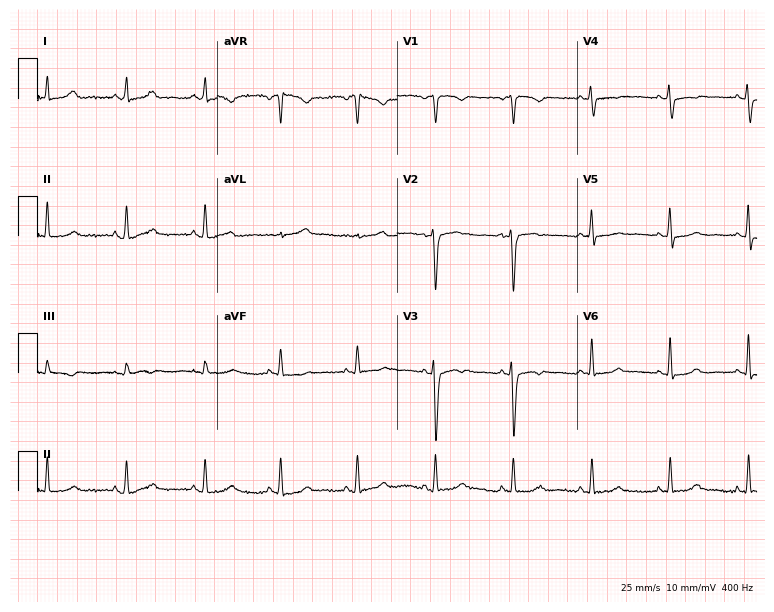
Electrocardiogram (7.3-second recording at 400 Hz), a female, 35 years old. Of the six screened findings (first-degree AV block, right bundle branch block, left bundle branch block, sinus bradycardia, atrial fibrillation, sinus tachycardia), none is recorded. Findings outside these six are not listed.